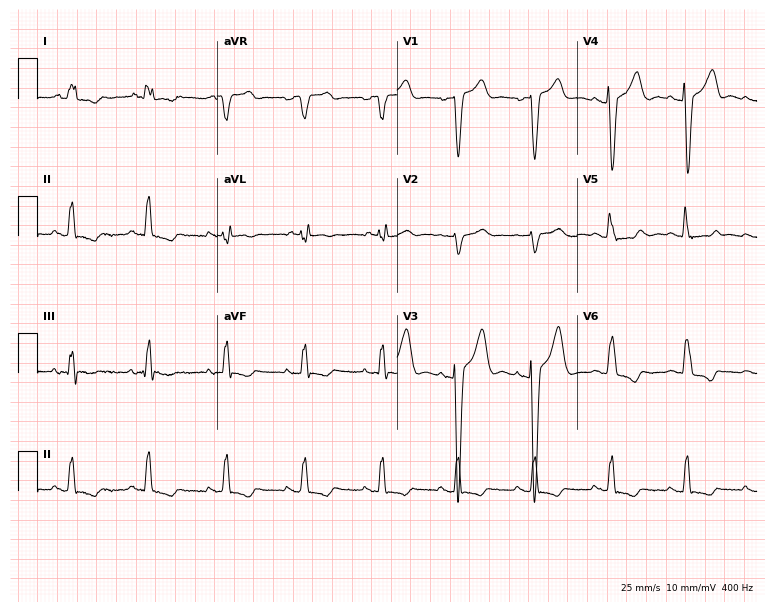
12-lead ECG (7.3-second recording at 400 Hz) from a 78-year-old woman. Screened for six findings — first-degree AV block, right bundle branch block (RBBB), left bundle branch block (LBBB), sinus bradycardia, atrial fibrillation (AF), sinus tachycardia — none is recorded. Other findings, if any, are not listed.